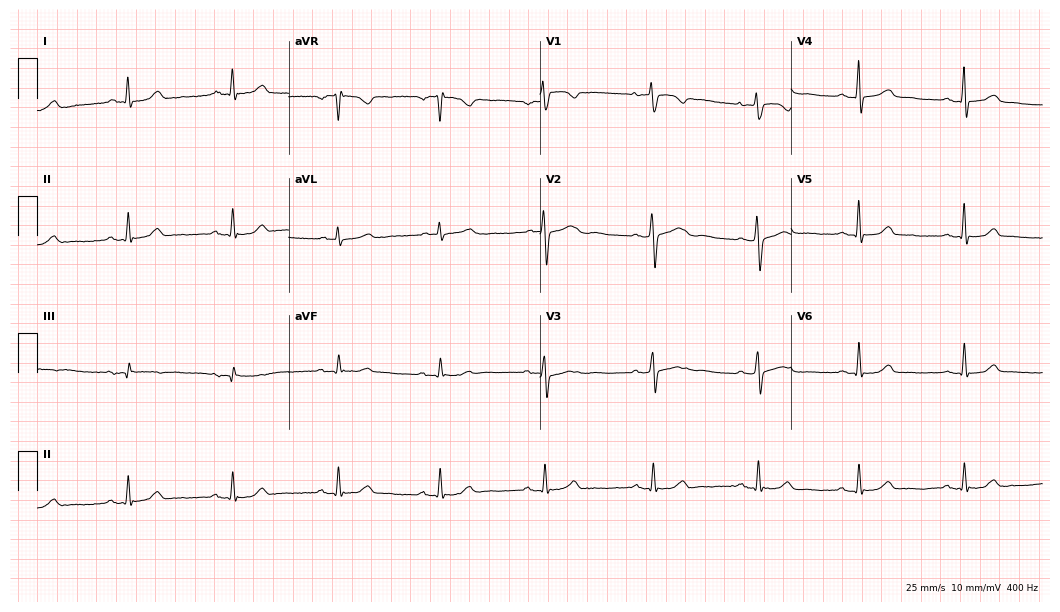
Resting 12-lead electrocardiogram. Patient: a female, 59 years old. None of these six findings is recorded: first-degree AV block, right bundle branch block, left bundle branch block, sinus bradycardia, atrial fibrillation, sinus tachycardia.